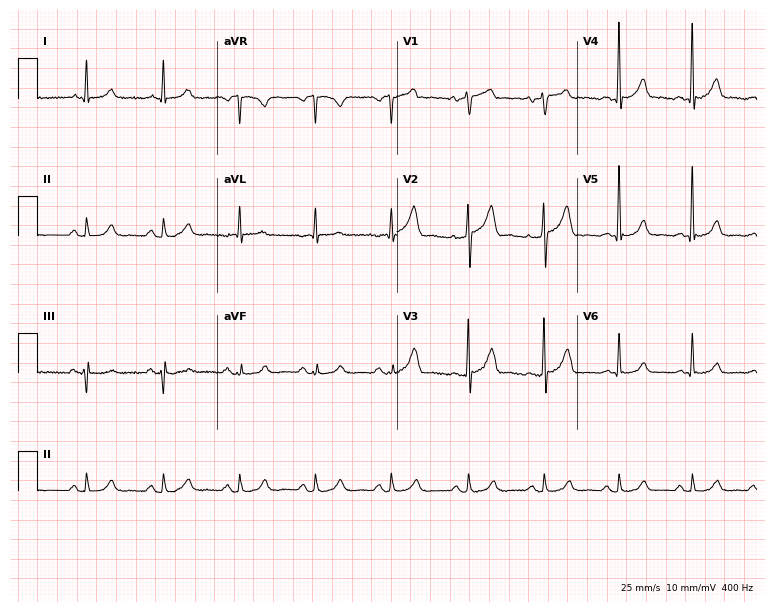
12-lead ECG from a male patient, 56 years old. Labelled as a normal ECG.